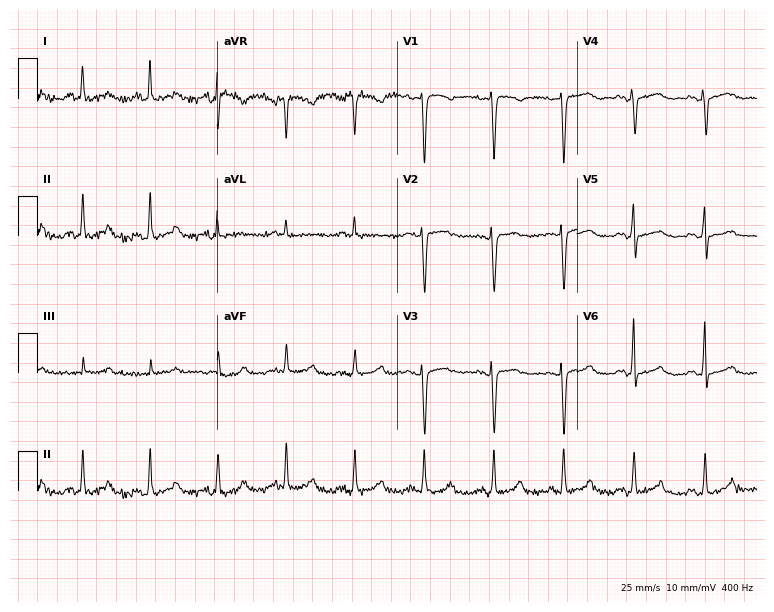
ECG — a female patient, 47 years old. Labelled as a normal ECG.